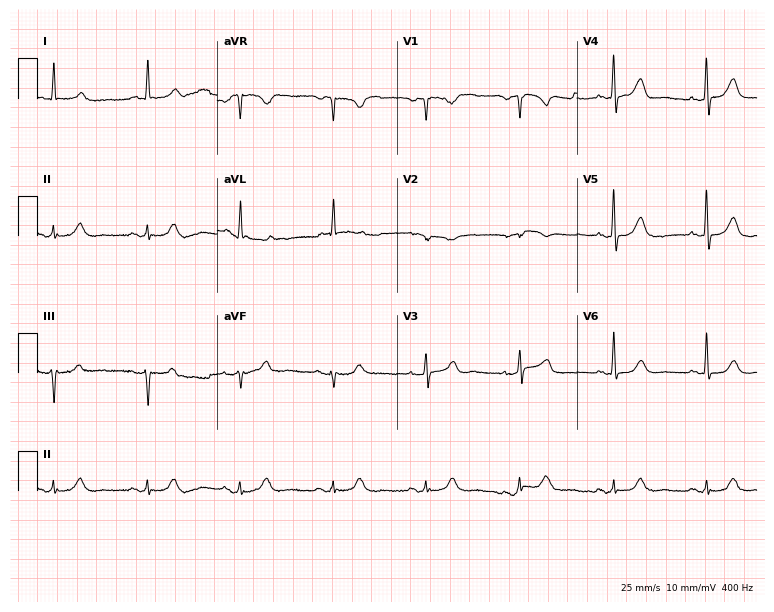
Standard 12-lead ECG recorded from a female, 62 years old. None of these six findings is recorded: first-degree AV block, right bundle branch block, left bundle branch block, sinus bradycardia, atrial fibrillation, sinus tachycardia.